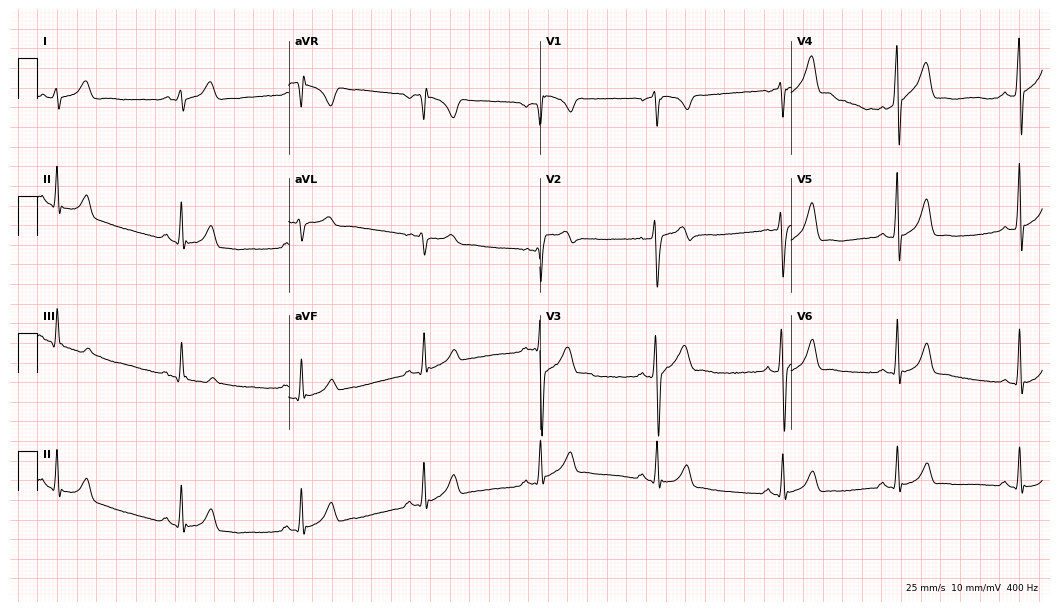
Standard 12-lead ECG recorded from a male patient, 24 years old. Read as a normal ECG.